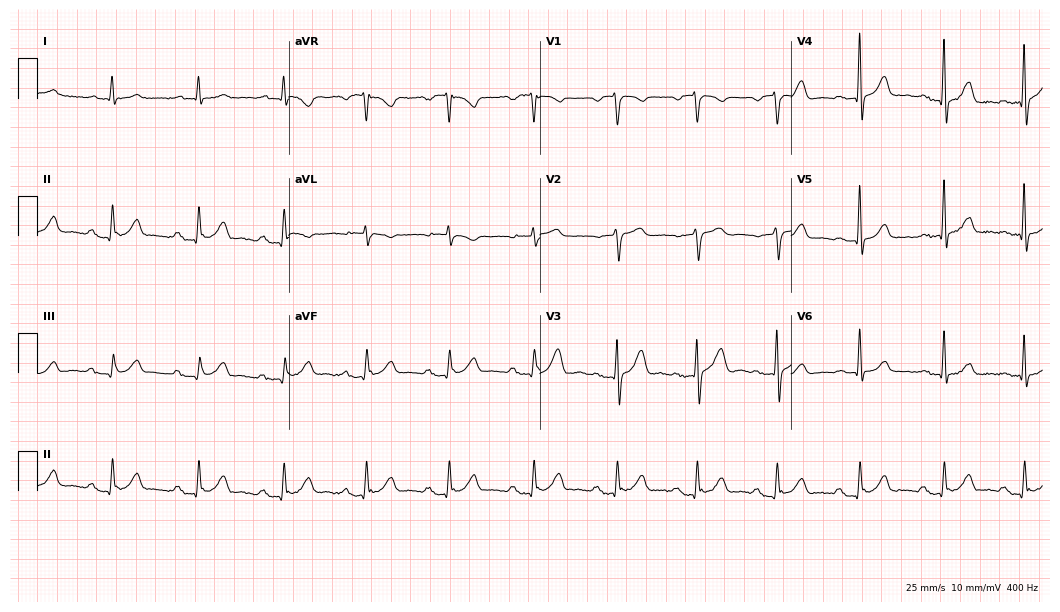
Resting 12-lead electrocardiogram (10.2-second recording at 400 Hz). Patient: a male, 75 years old. Read as a normal ECG.